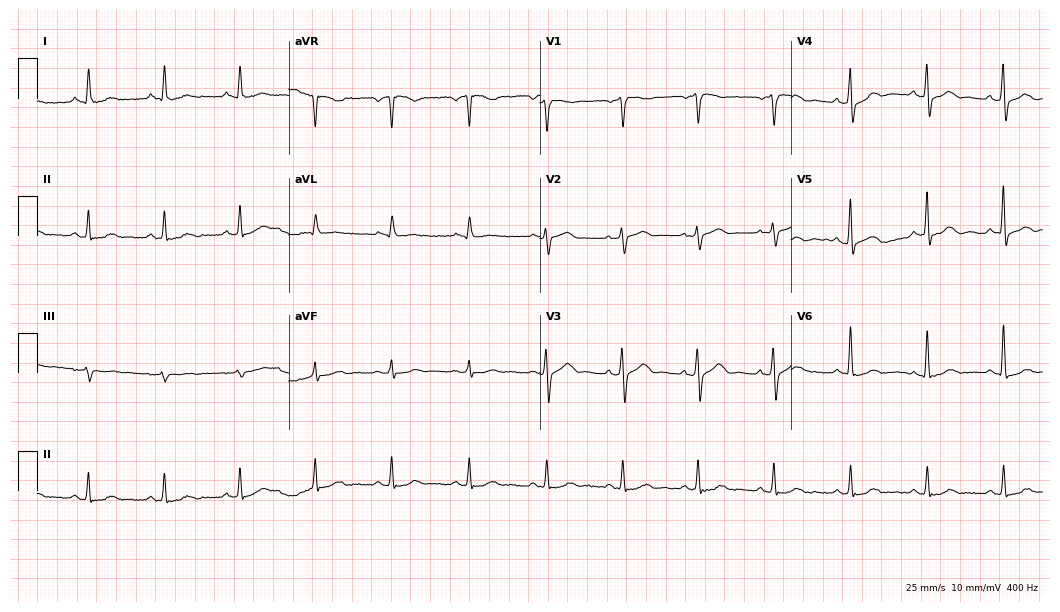
ECG (10.2-second recording at 400 Hz) — a man, 65 years old. Labelled as a normal ECG.